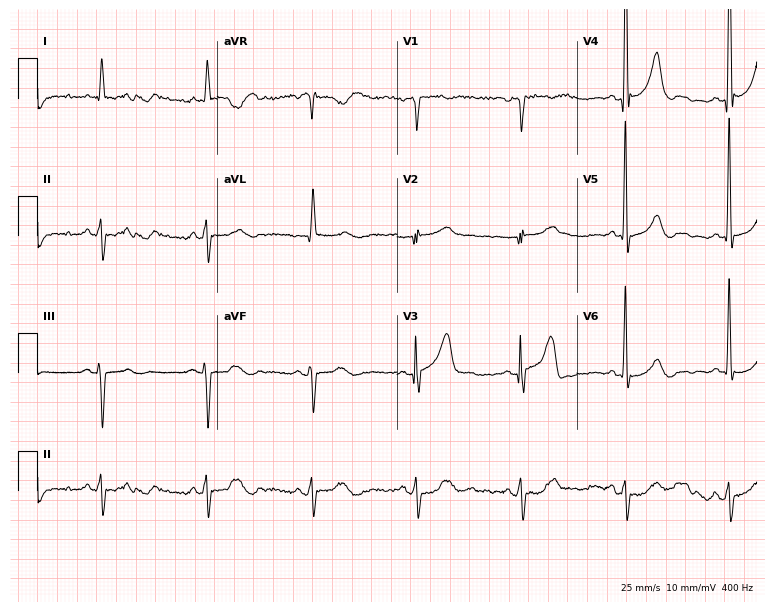
Resting 12-lead electrocardiogram. Patient: an 85-year-old male. None of these six findings is recorded: first-degree AV block, right bundle branch block, left bundle branch block, sinus bradycardia, atrial fibrillation, sinus tachycardia. Findings outside these six are not listed.